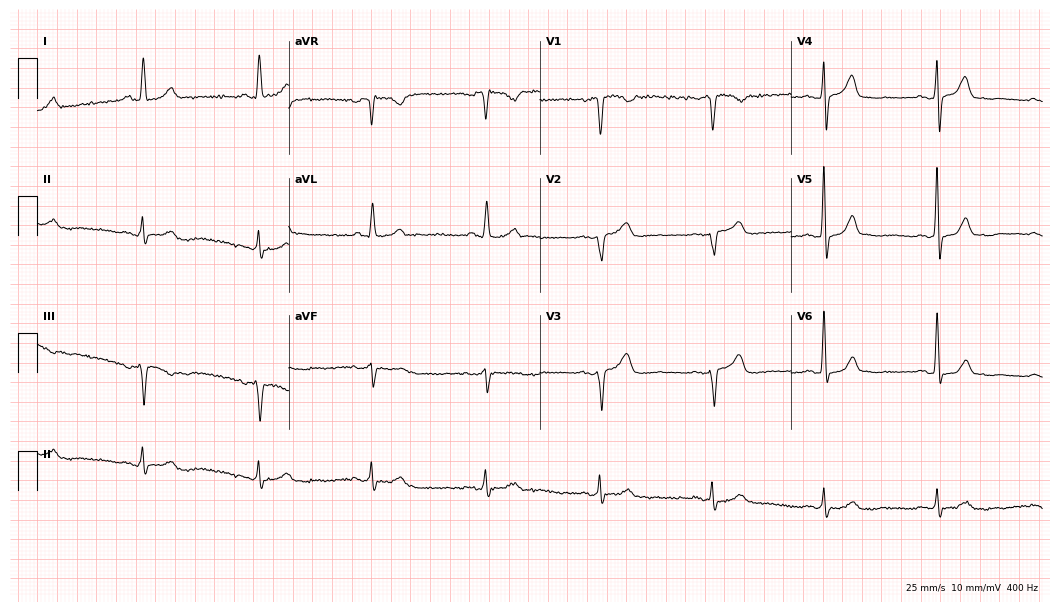
Resting 12-lead electrocardiogram. Patient: a 55-year-old female. Read as a normal ECG.